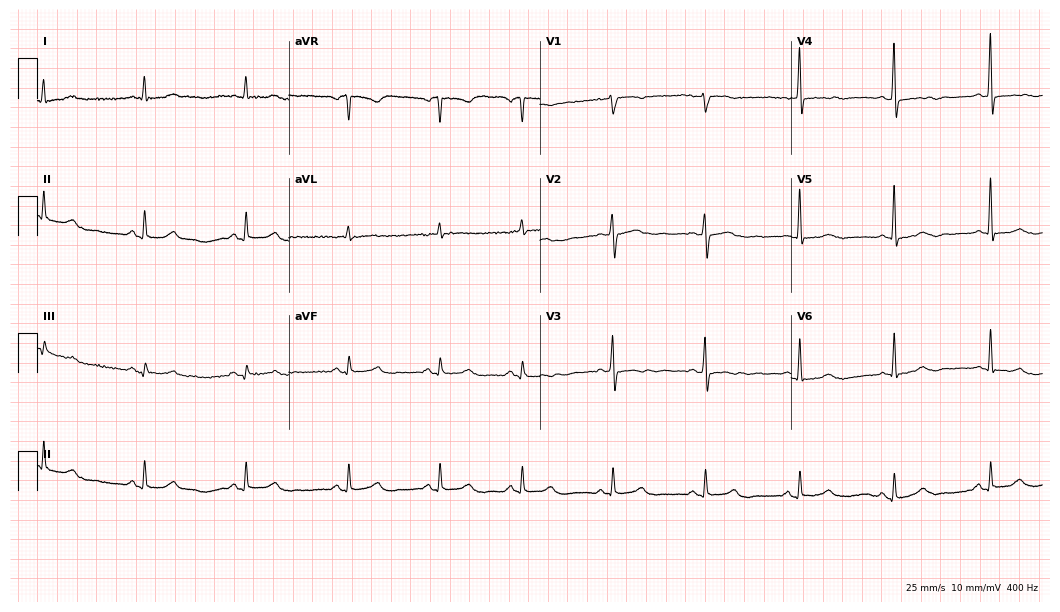
12-lead ECG from a female patient, 59 years old (10.2-second recording at 400 Hz). Recorded interpretation: within normal limits.